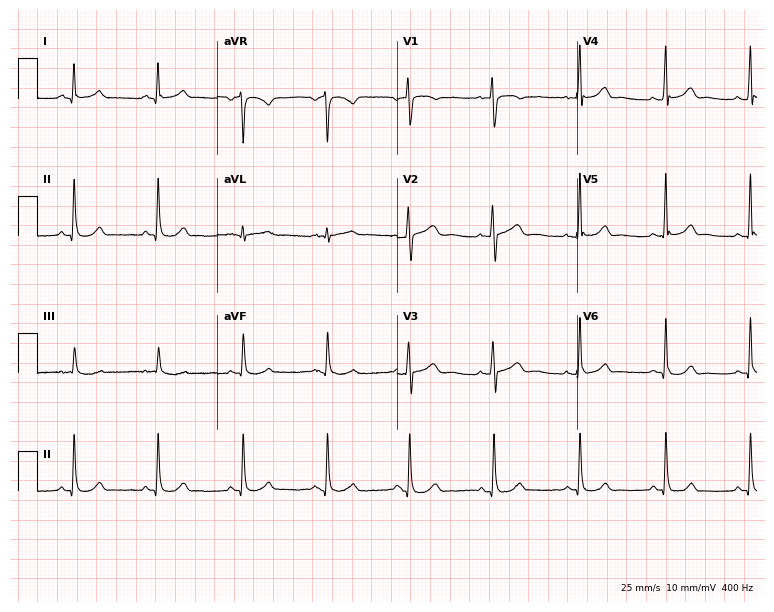
ECG — a 44-year-old female patient. Labelled as a normal ECG.